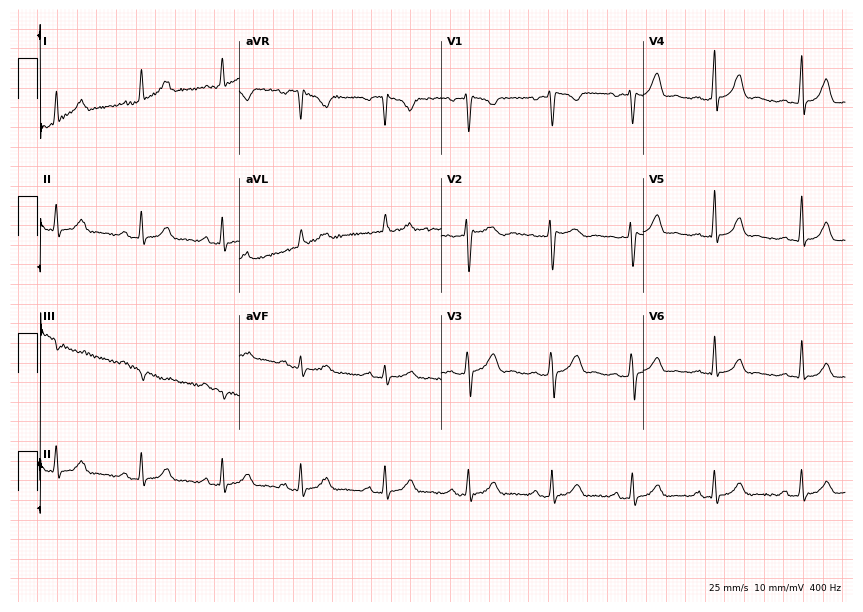
Electrocardiogram, a female patient, 26 years old. Overall reading on record: normal ECG.